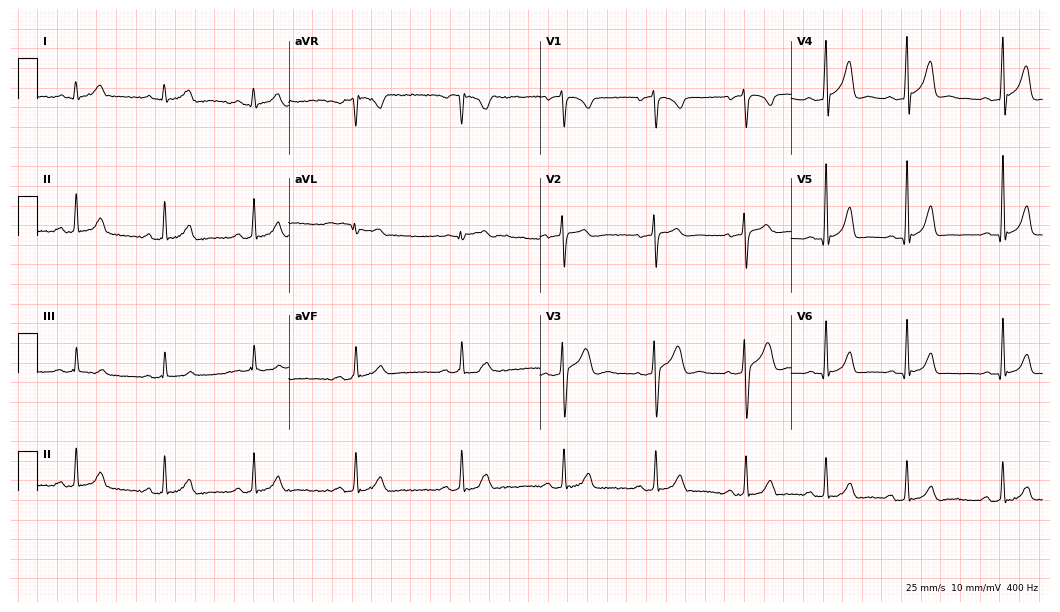
Standard 12-lead ECG recorded from a 21-year-old male (10.2-second recording at 400 Hz). Read as a normal ECG.